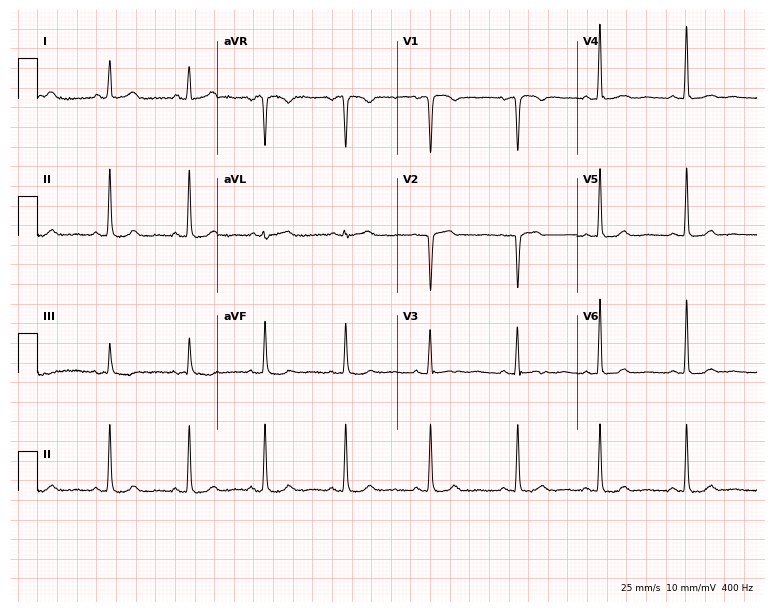
ECG (7.3-second recording at 400 Hz) — a female, 44 years old. Screened for six findings — first-degree AV block, right bundle branch block, left bundle branch block, sinus bradycardia, atrial fibrillation, sinus tachycardia — none is recorded.